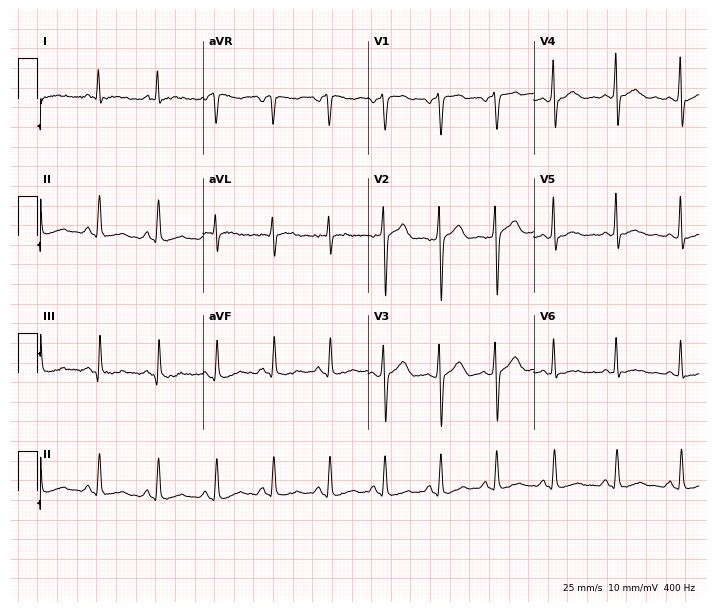
12-lead ECG from a male patient, 37 years old. Screened for six findings — first-degree AV block, right bundle branch block, left bundle branch block, sinus bradycardia, atrial fibrillation, sinus tachycardia — none is recorded.